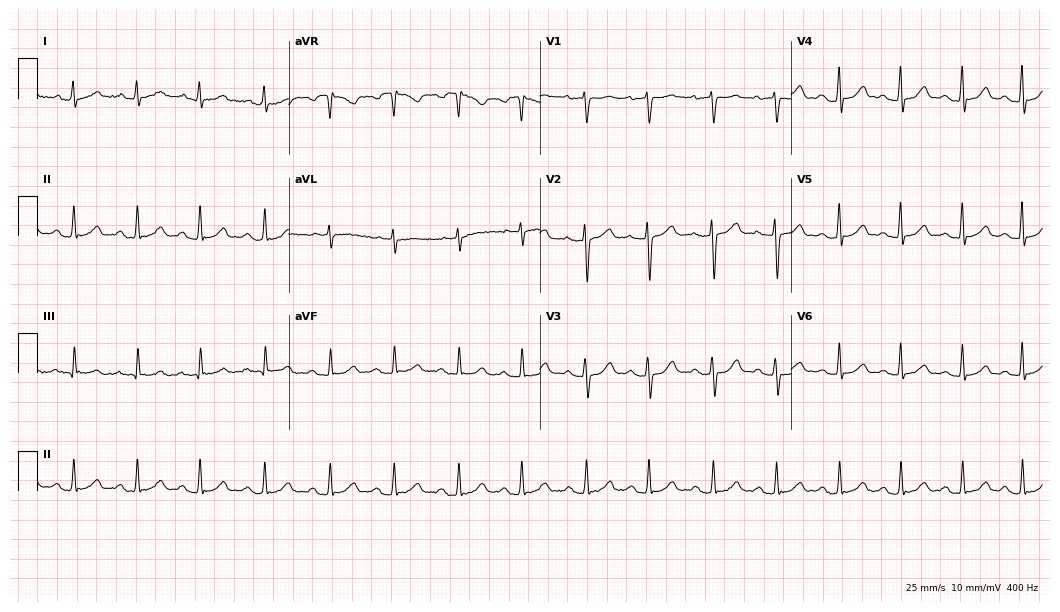
12-lead ECG from a 38-year-old woman. Recorded interpretation: within normal limits.